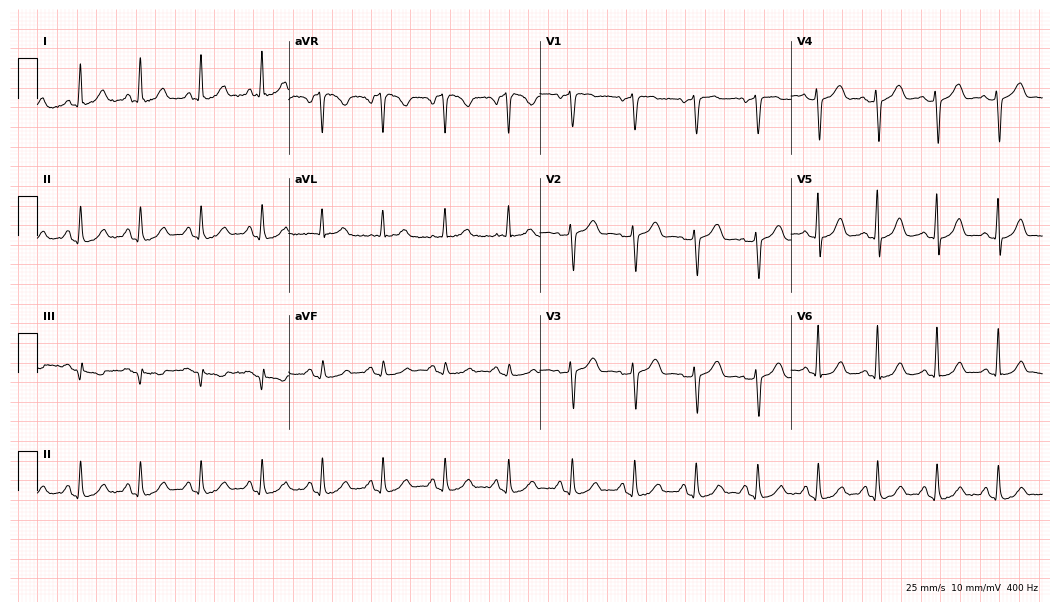
ECG — a female, 56 years old. Screened for six findings — first-degree AV block, right bundle branch block (RBBB), left bundle branch block (LBBB), sinus bradycardia, atrial fibrillation (AF), sinus tachycardia — none is recorded.